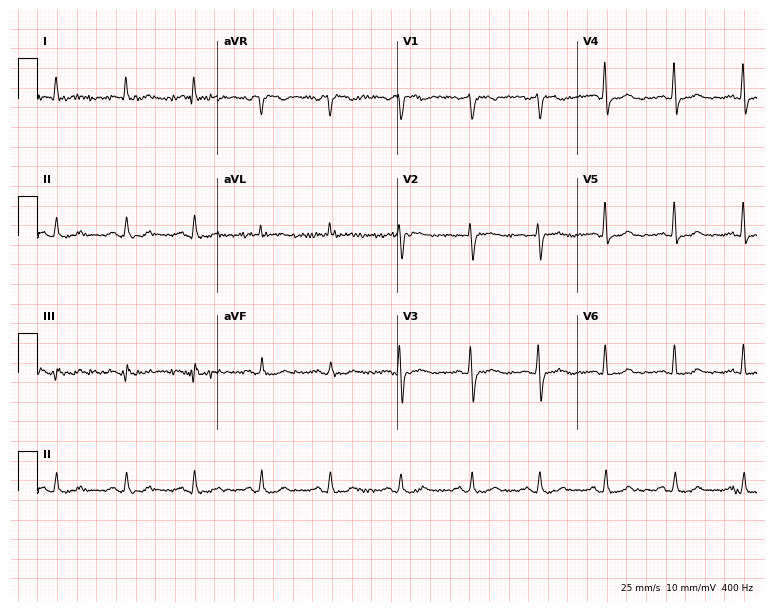
ECG — a 54-year-old female patient. Screened for six findings — first-degree AV block, right bundle branch block, left bundle branch block, sinus bradycardia, atrial fibrillation, sinus tachycardia — none is recorded. Other findings, if any, are not listed.